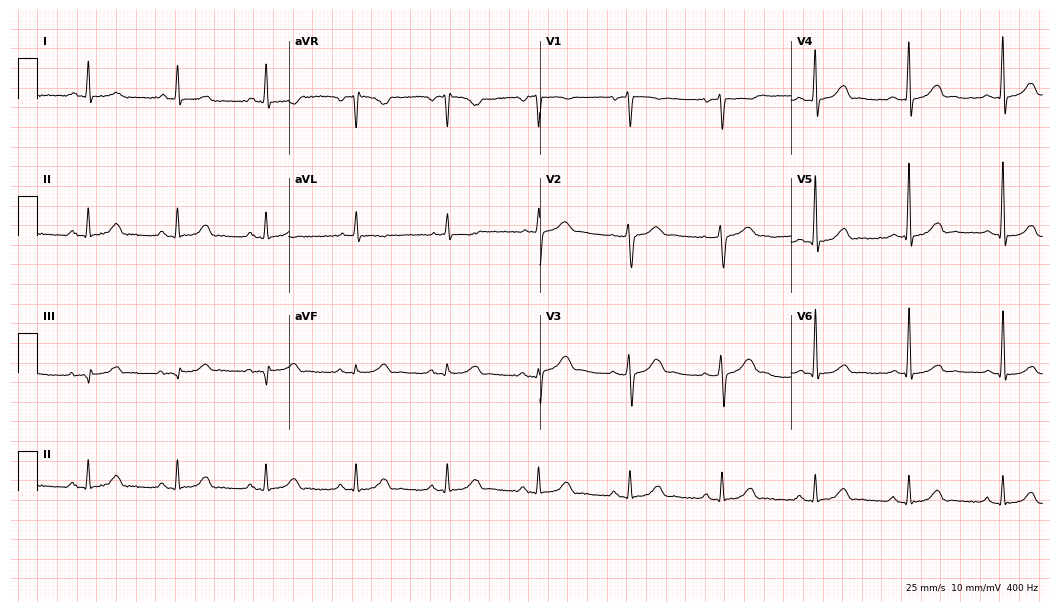
Standard 12-lead ECG recorded from a 67-year-old male patient (10.2-second recording at 400 Hz). Read as a normal ECG.